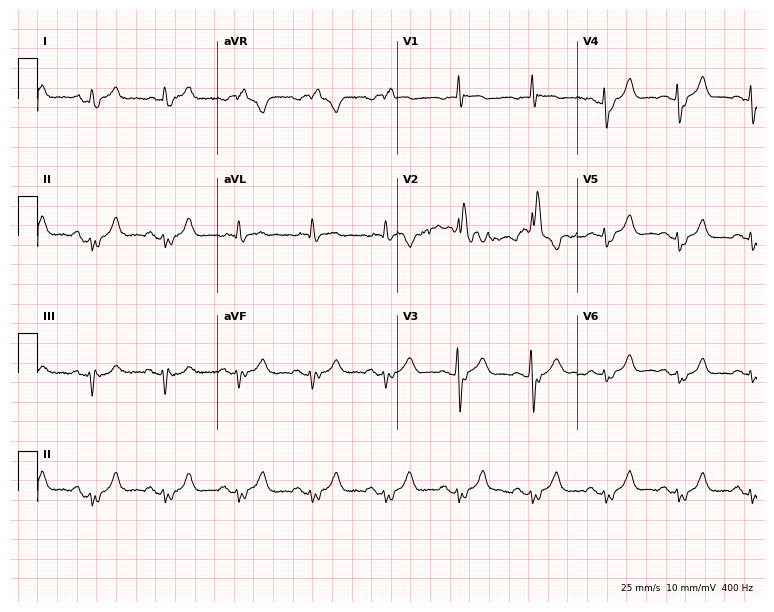
12-lead ECG from an 84-year-old male. Findings include right bundle branch block.